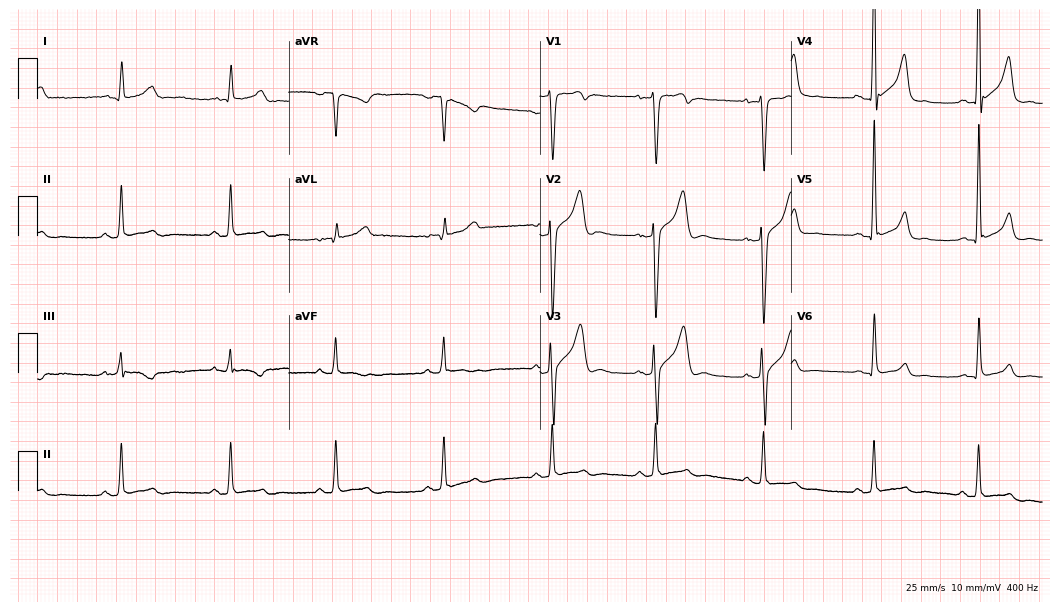
Electrocardiogram (10.2-second recording at 400 Hz), a 31-year-old male. Overall reading on record: normal ECG.